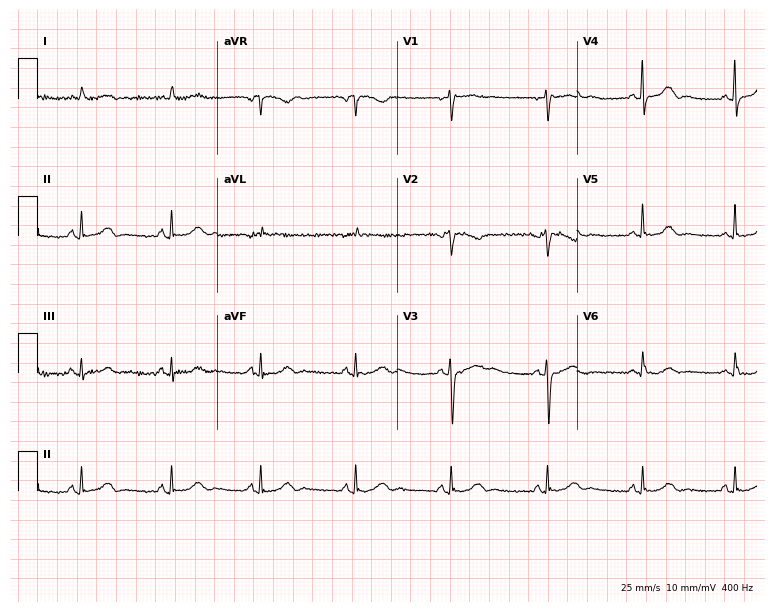
Electrocardiogram, a female, 74 years old. Overall reading on record: normal ECG.